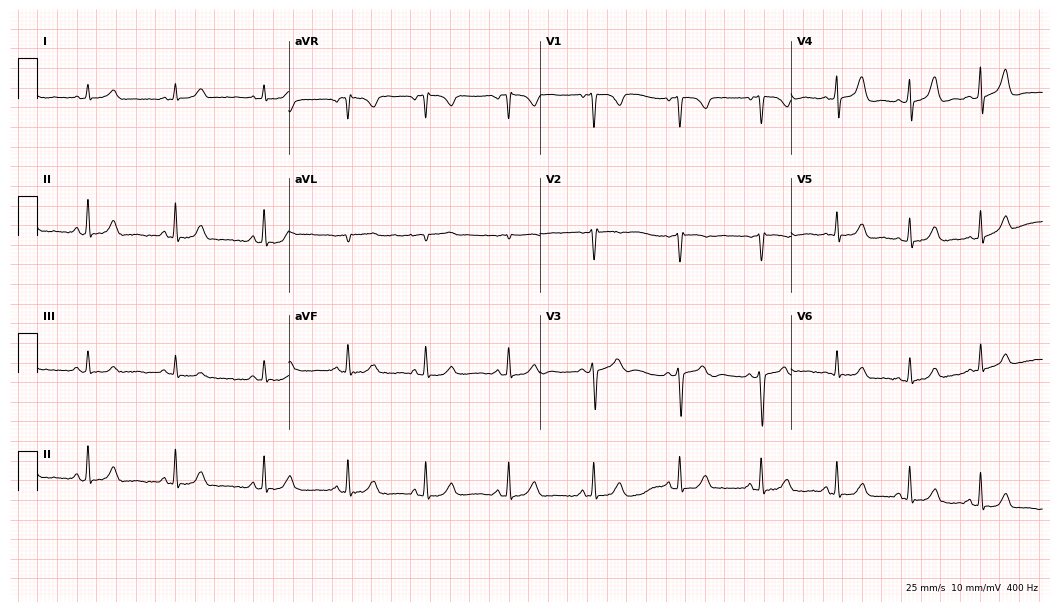
Resting 12-lead electrocardiogram. Patient: an 18-year-old female. None of these six findings is recorded: first-degree AV block, right bundle branch block, left bundle branch block, sinus bradycardia, atrial fibrillation, sinus tachycardia.